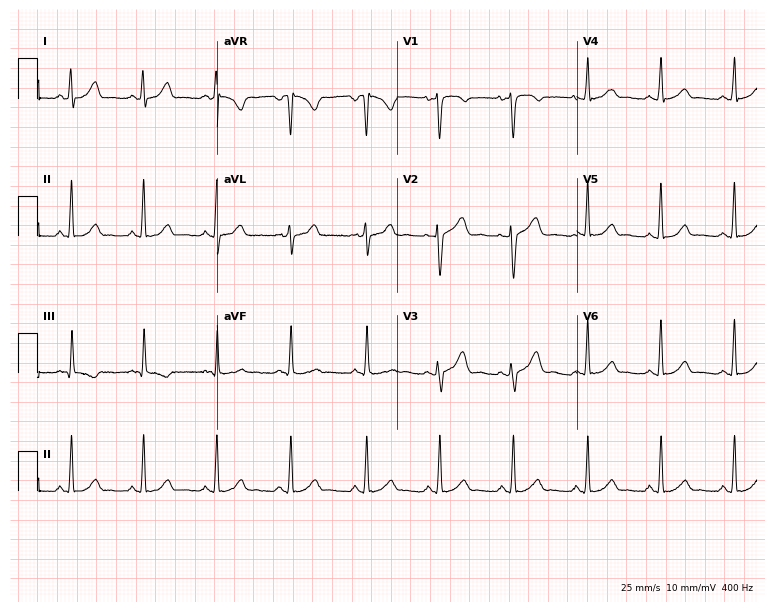
Electrocardiogram, a 29-year-old female. Overall reading on record: normal ECG.